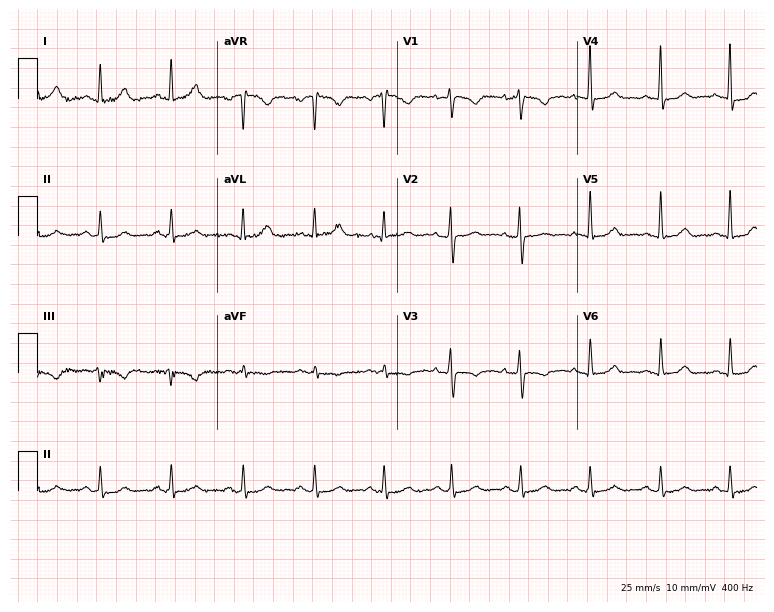
Standard 12-lead ECG recorded from a 33-year-old female patient. Read as a normal ECG.